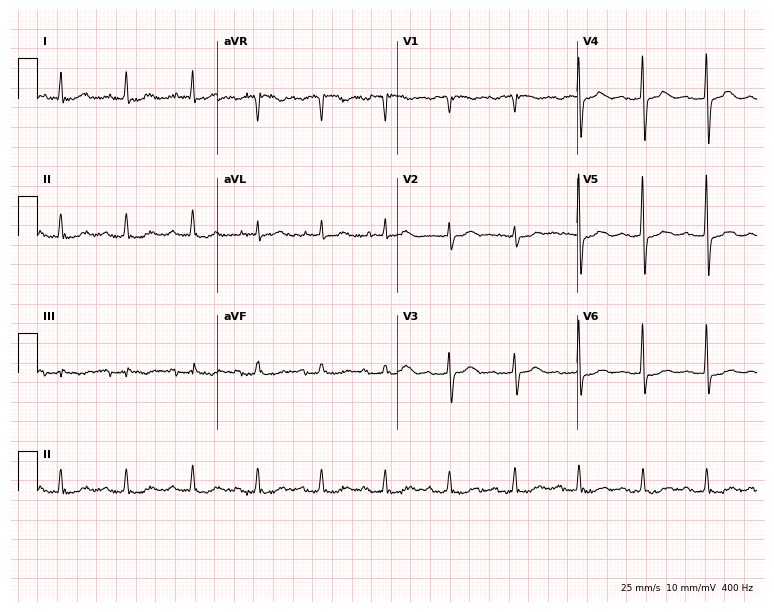
12-lead ECG from a female, 80 years old. Screened for six findings — first-degree AV block, right bundle branch block, left bundle branch block, sinus bradycardia, atrial fibrillation, sinus tachycardia — none is recorded. Only these six findings were labelled.